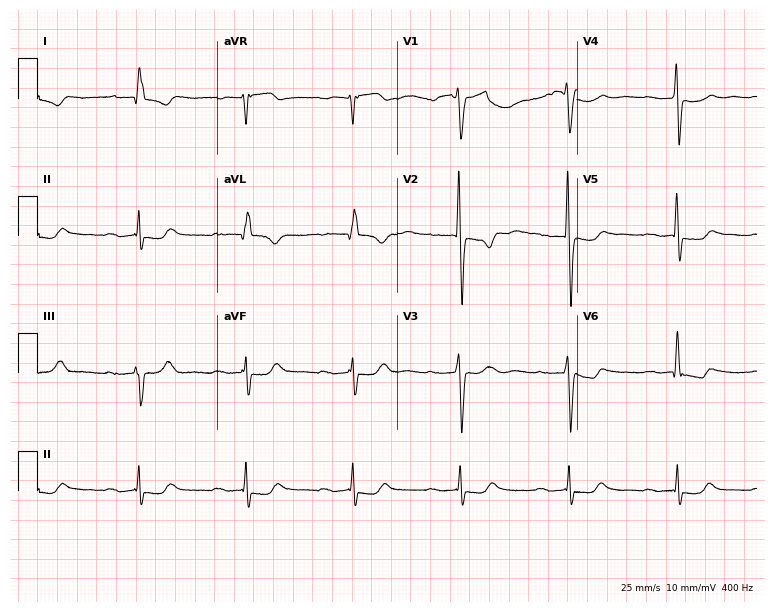
12-lead ECG (7.3-second recording at 400 Hz) from a male, 75 years old. Screened for six findings — first-degree AV block, right bundle branch block, left bundle branch block, sinus bradycardia, atrial fibrillation, sinus tachycardia — none is recorded.